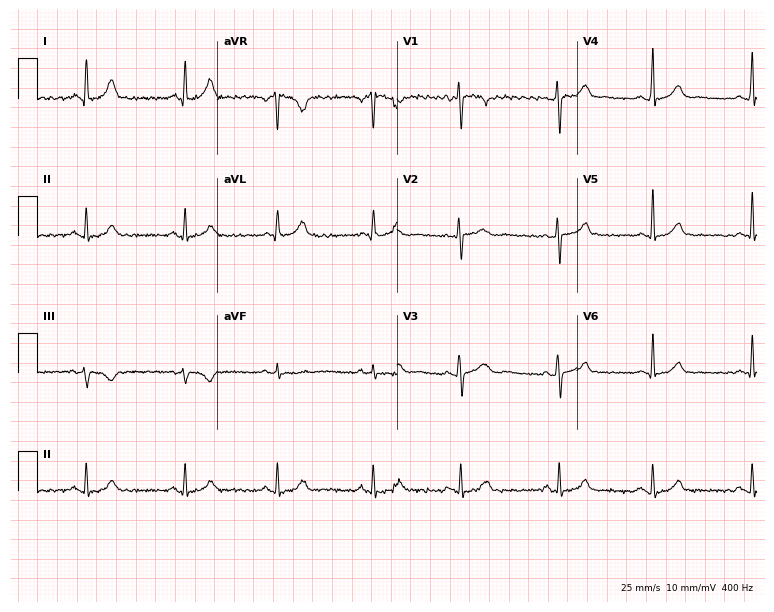
12-lead ECG from a 36-year-old woman. Recorded interpretation: within normal limits.